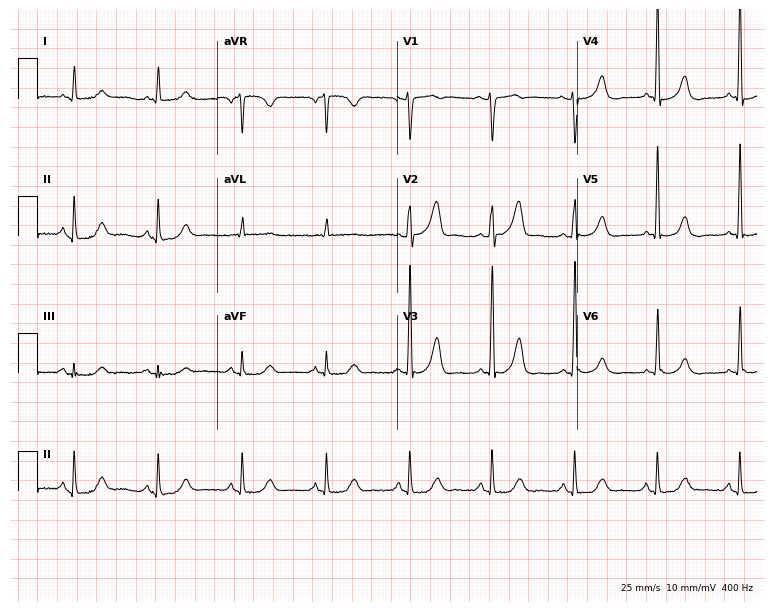
Electrocardiogram (7.3-second recording at 400 Hz), a 78-year-old male. Of the six screened findings (first-degree AV block, right bundle branch block (RBBB), left bundle branch block (LBBB), sinus bradycardia, atrial fibrillation (AF), sinus tachycardia), none is recorded.